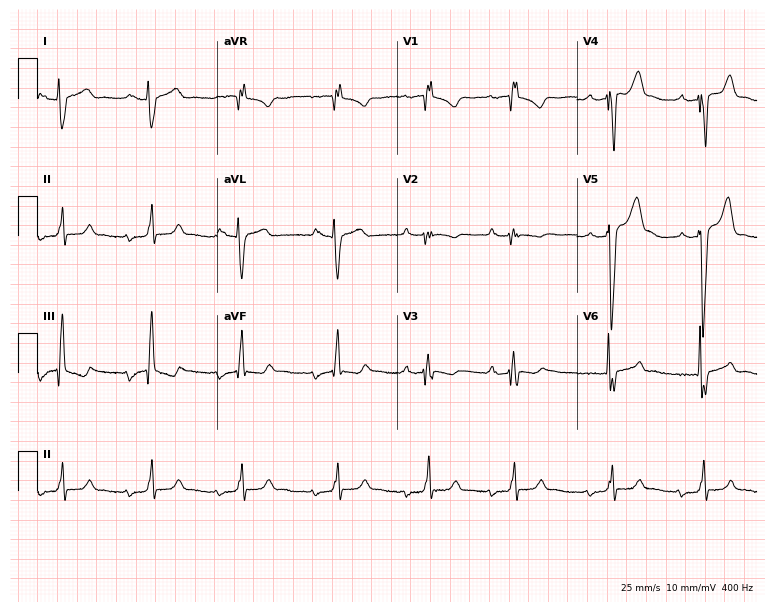
Resting 12-lead electrocardiogram. Patient: a male, 22 years old. None of these six findings is recorded: first-degree AV block, right bundle branch block, left bundle branch block, sinus bradycardia, atrial fibrillation, sinus tachycardia.